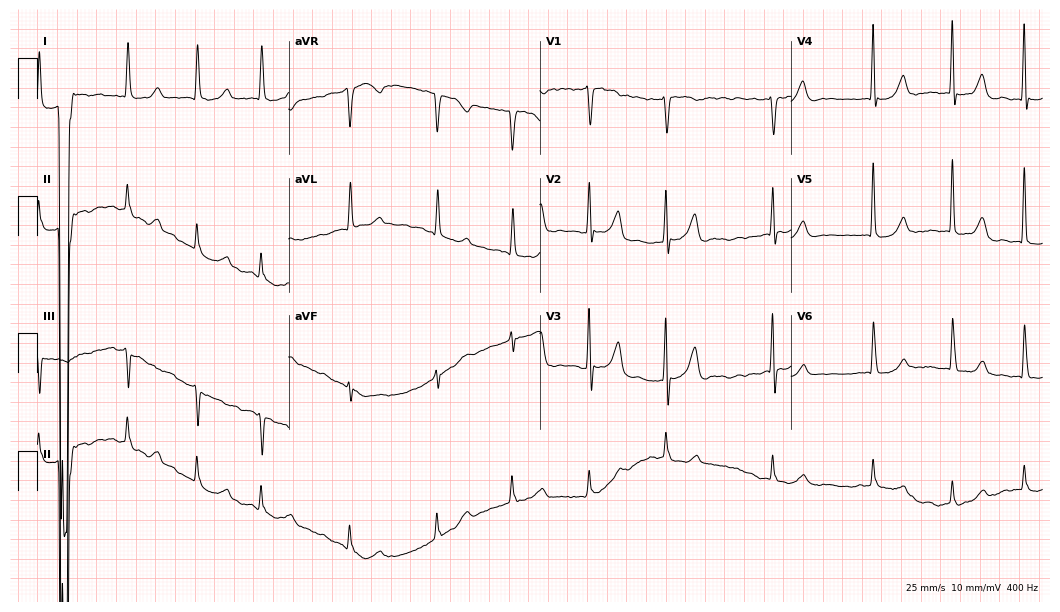
ECG (10.2-second recording at 400 Hz) — an 85-year-old female. Findings include atrial fibrillation.